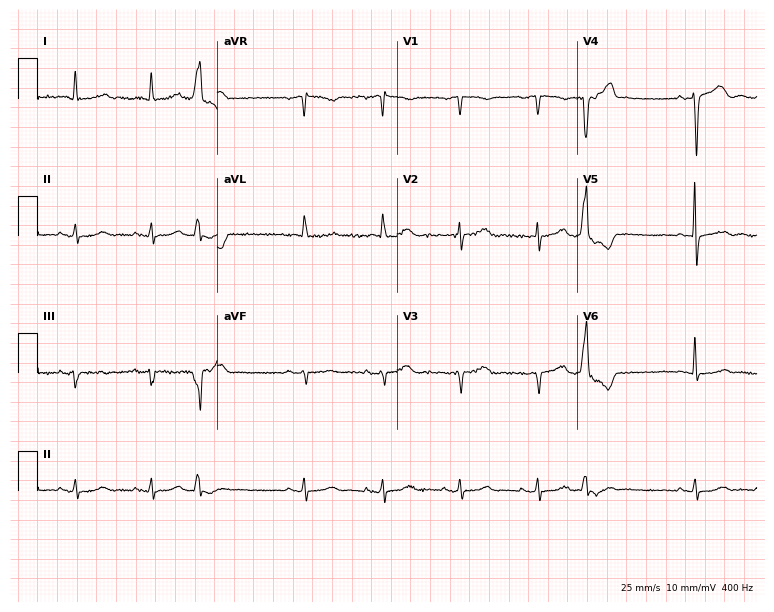
Resting 12-lead electrocardiogram (7.3-second recording at 400 Hz). Patient: a female, 82 years old. None of these six findings is recorded: first-degree AV block, right bundle branch block, left bundle branch block, sinus bradycardia, atrial fibrillation, sinus tachycardia. Findings outside these six are not listed.